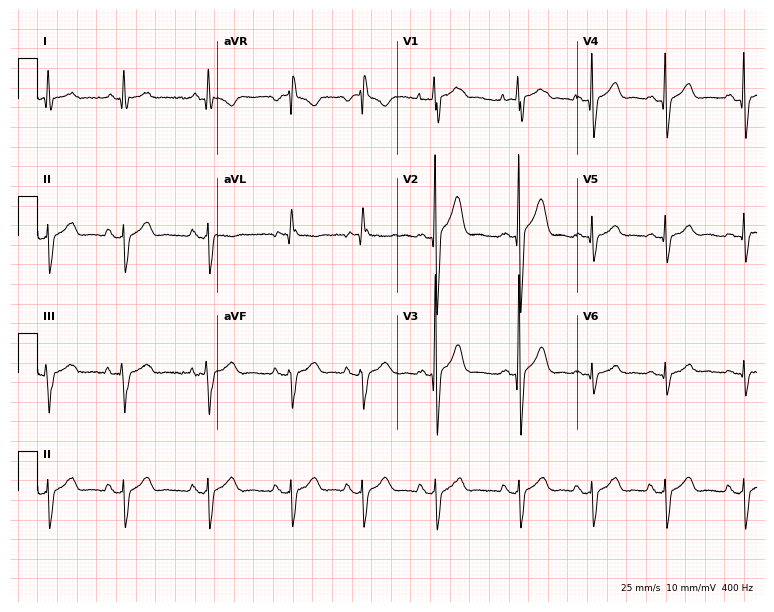
Electrocardiogram, a 22-year-old man. Of the six screened findings (first-degree AV block, right bundle branch block, left bundle branch block, sinus bradycardia, atrial fibrillation, sinus tachycardia), none is recorded.